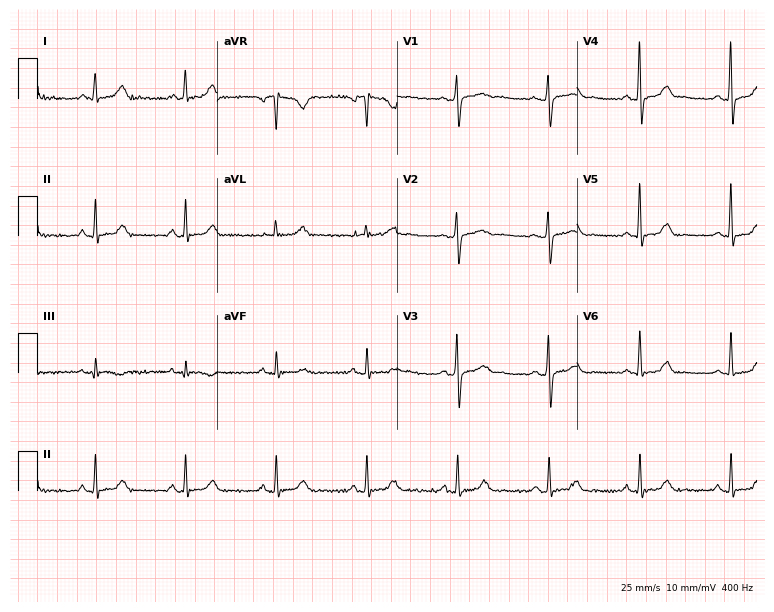
Electrocardiogram, a 59-year-old female patient. Of the six screened findings (first-degree AV block, right bundle branch block (RBBB), left bundle branch block (LBBB), sinus bradycardia, atrial fibrillation (AF), sinus tachycardia), none is recorded. Findings outside these six are not listed.